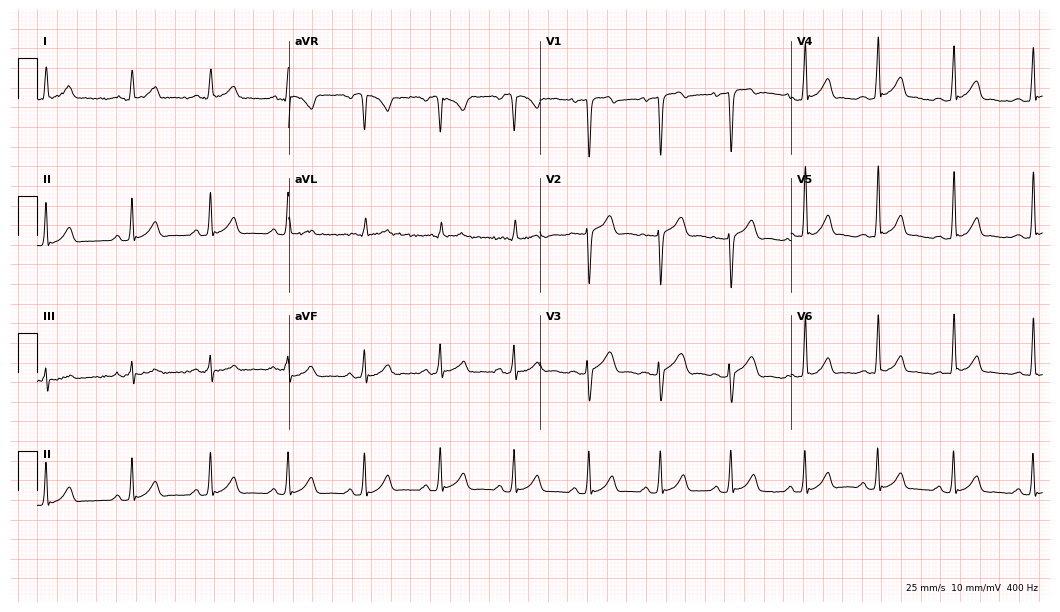
12-lead ECG from a male patient, 19 years old. No first-degree AV block, right bundle branch block, left bundle branch block, sinus bradycardia, atrial fibrillation or sinus tachycardia recorded for this tracing. Other findings, if any, are not listed.